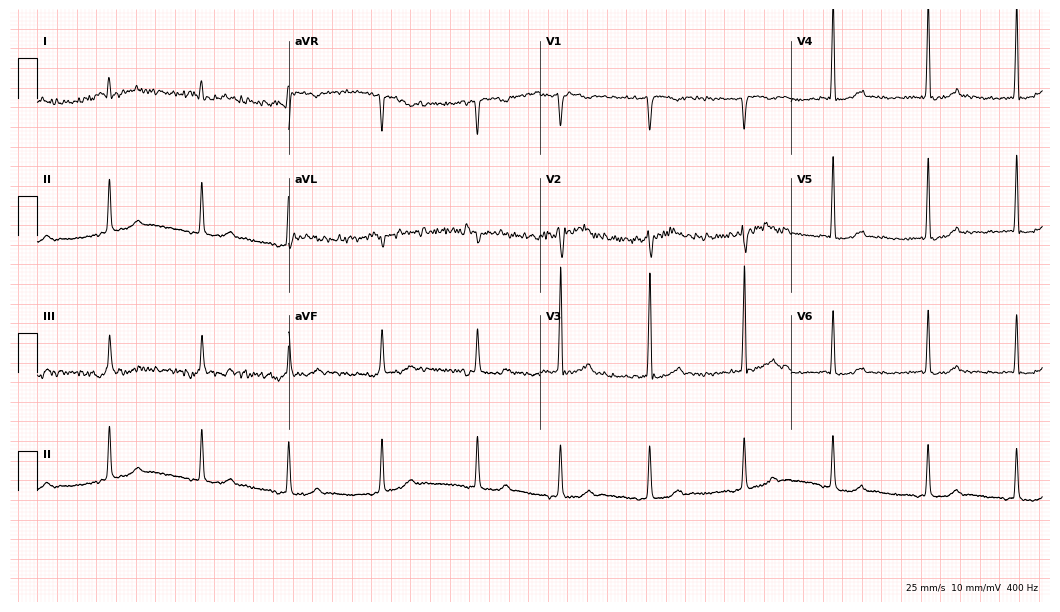
12-lead ECG from a 32-year-old male (10.2-second recording at 400 Hz). No first-degree AV block, right bundle branch block, left bundle branch block, sinus bradycardia, atrial fibrillation or sinus tachycardia recorded for this tracing. Other findings, if any, are not listed.